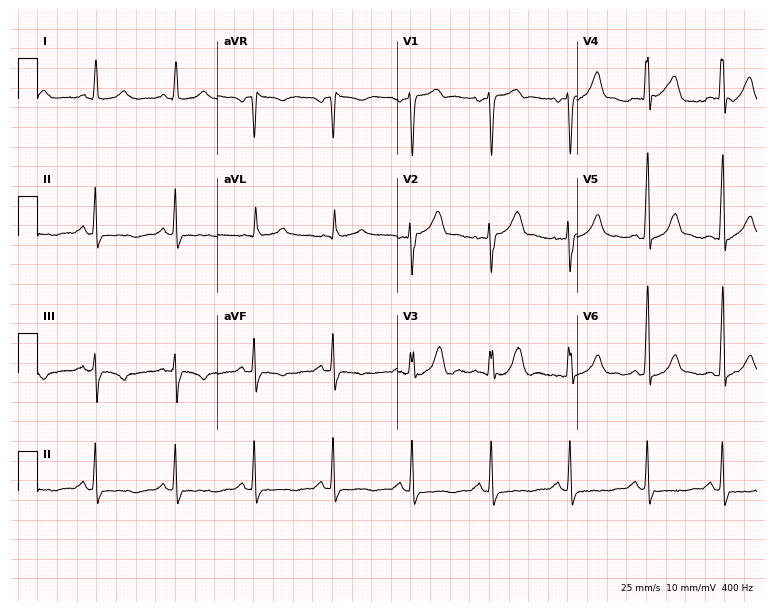
ECG — a 70-year-old man. Screened for six findings — first-degree AV block, right bundle branch block, left bundle branch block, sinus bradycardia, atrial fibrillation, sinus tachycardia — none is recorded.